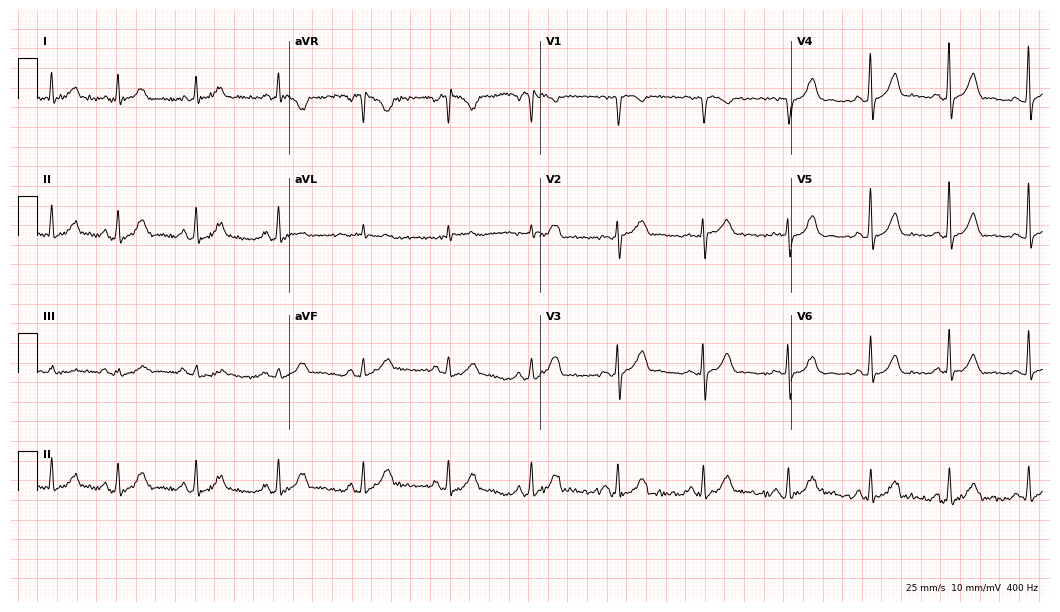
Resting 12-lead electrocardiogram (10.2-second recording at 400 Hz). Patient: a 57-year-old female. None of these six findings is recorded: first-degree AV block, right bundle branch block, left bundle branch block, sinus bradycardia, atrial fibrillation, sinus tachycardia. Findings outside these six are not listed.